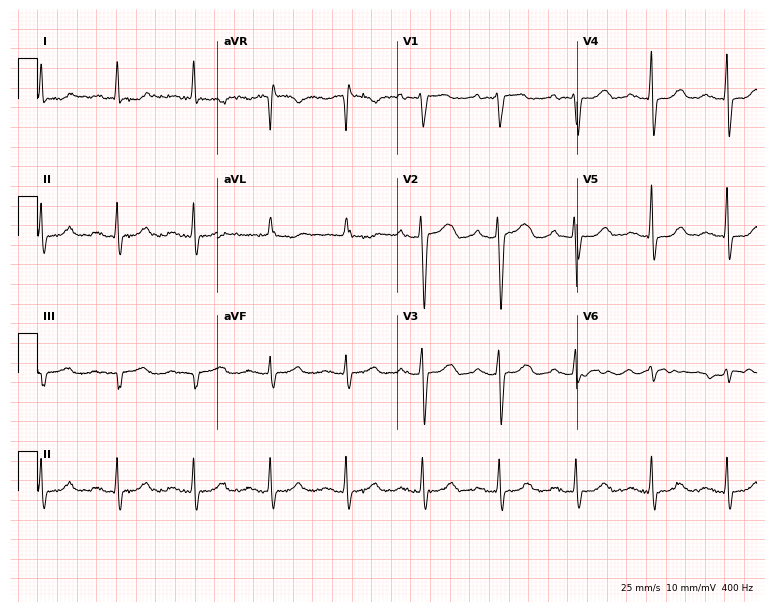
12-lead ECG from a 60-year-old woman. Recorded interpretation: within normal limits.